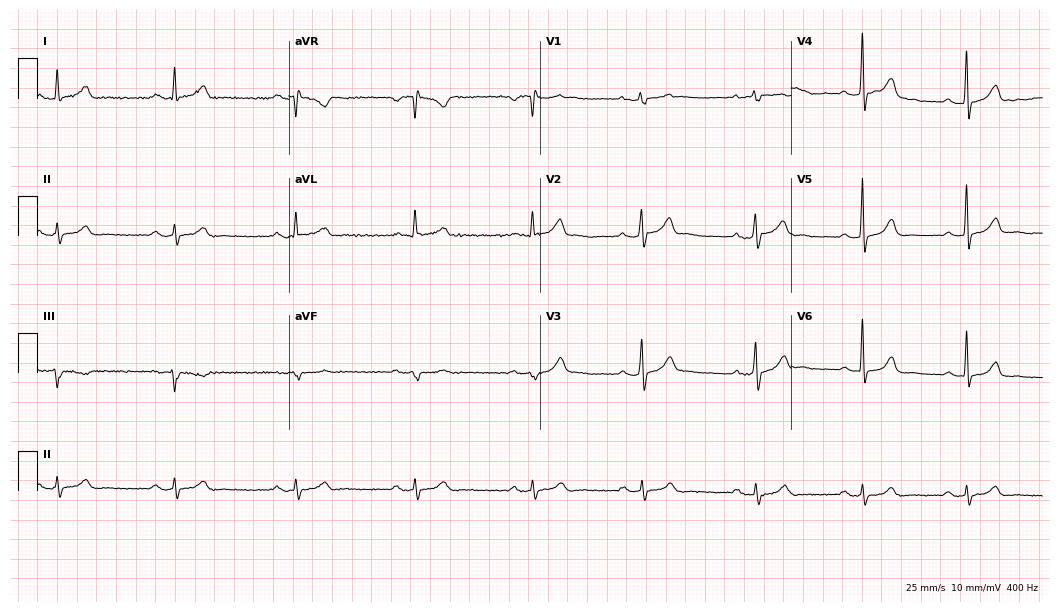
12-lead ECG from a male, 52 years old. Findings include first-degree AV block.